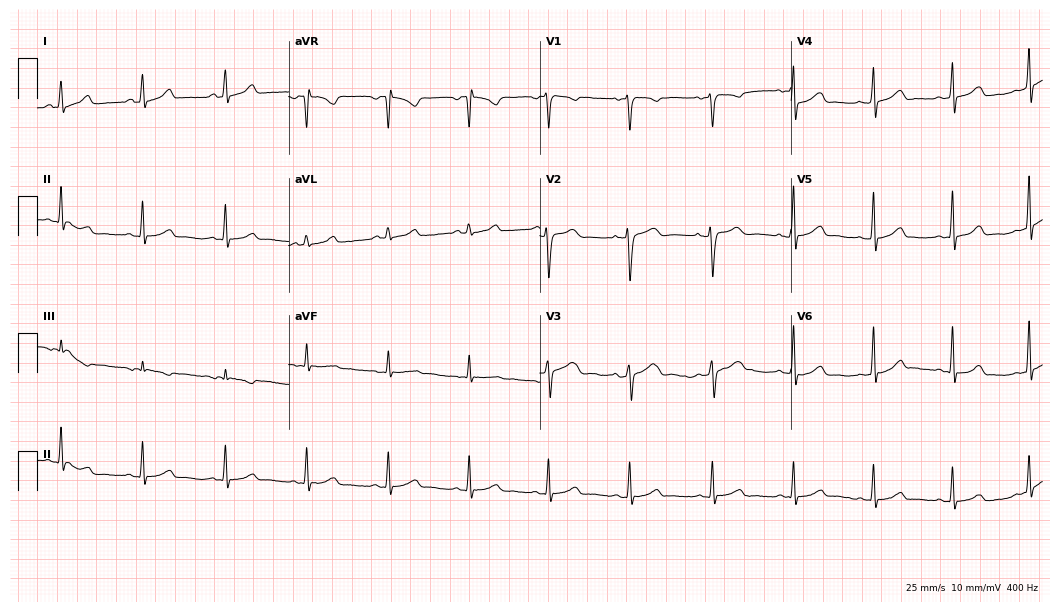
ECG — a 29-year-old woman. Labelled as a normal ECG.